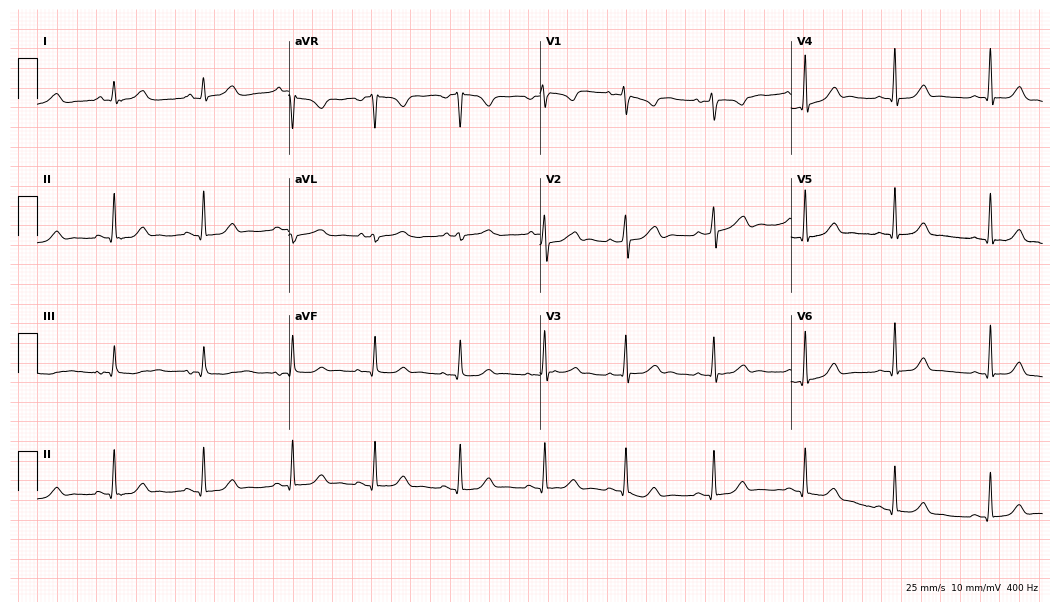
Resting 12-lead electrocardiogram (10.2-second recording at 400 Hz). Patient: a 20-year-old woman. None of these six findings is recorded: first-degree AV block, right bundle branch block (RBBB), left bundle branch block (LBBB), sinus bradycardia, atrial fibrillation (AF), sinus tachycardia.